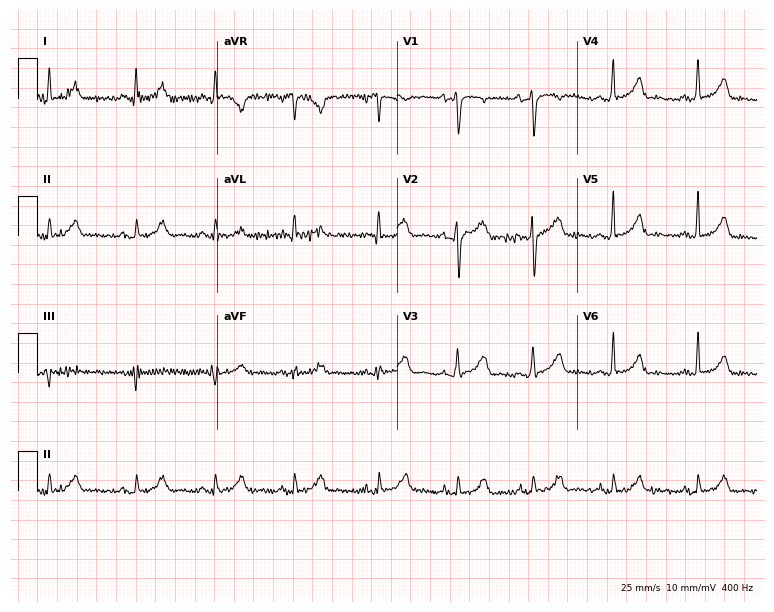
ECG — a female patient, 31 years old. Screened for six findings — first-degree AV block, right bundle branch block, left bundle branch block, sinus bradycardia, atrial fibrillation, sinus tachycardia — none is recorded.